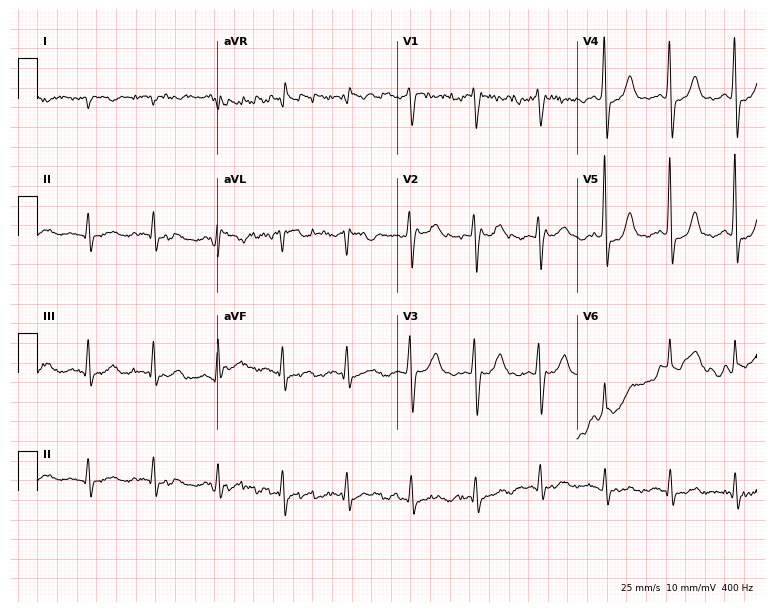
ECG — a man, 85 years old. Screened for six findings — first-degree AV block, right bundle branch block (RBBB), left bundle branch block (LBBB), sinus bradycardia, atrial fibrillation (AF), sinus tachycardia — none is recorded.